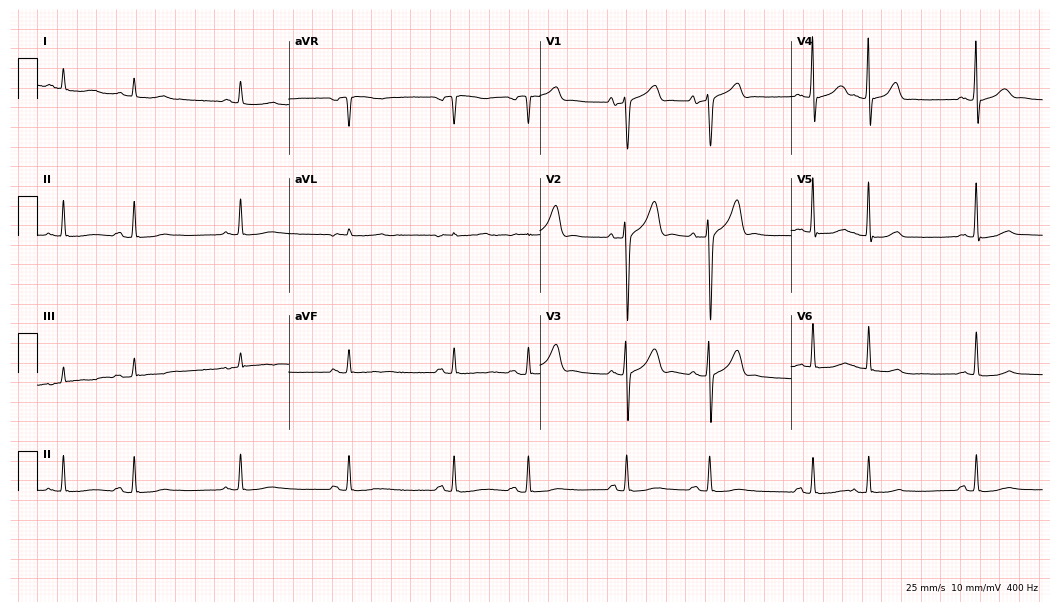
Electrocardiogram, a male patient, 77 years old. Of the six screened findings (first-degree AV block, right bundle branch block (RBBB), left bundle branch block (LBBB), sinus bradycardia, atrial fibrillation (AF), sinus tachycardia), none is recorded. Only these six findings were labelled.